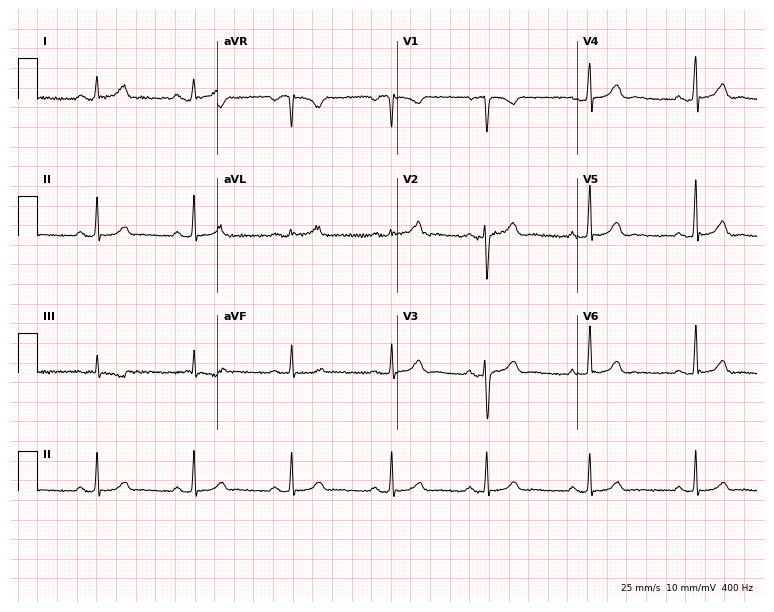
ECG — a 33-year-old woman. Screened for six findings — first-degree AV block, right bundle branch block, left bundle branch block, sinus bradycardia, atrial fibrillation, sinus tachycardia — none is recorded. Findings outside these six are not listed.